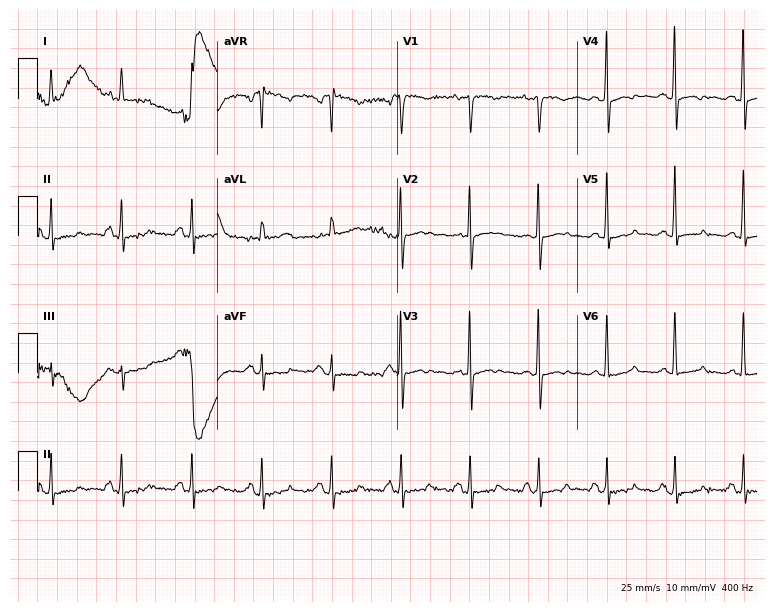
12-lead ECG from a 56-year-old woman. No first-degree AV block, right bundle branch block, left bundle branch block, sinus bradycardia, atrial fibrillation or sinus tachycardia recorded for this tracing. Findings outside these six are not listed.